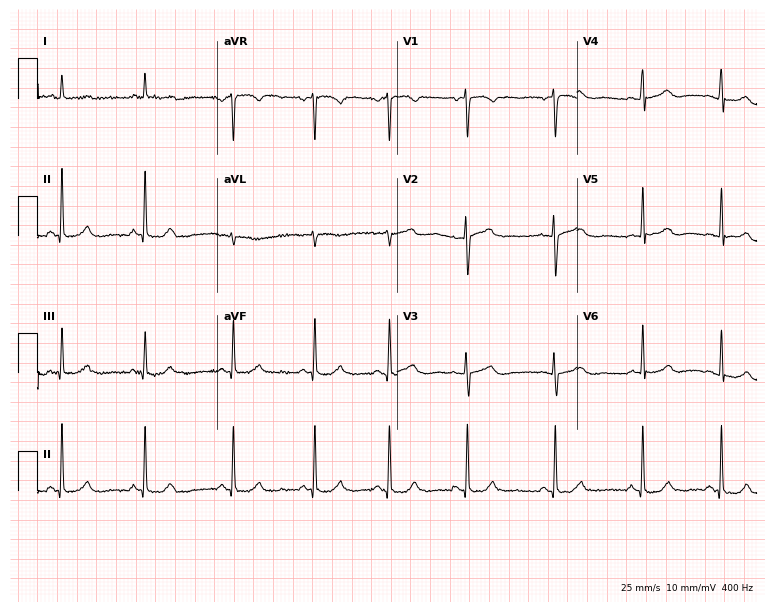
Standard 12-lead ECG recorded from a female, 37 years old (7.3-second recording at 400 Hz). None of these six findings is recorded: first-degree AV block, right bundle branch block, left bundle branch block, sinus bradycardia, atrial fibrillation, sinus tachycardia.